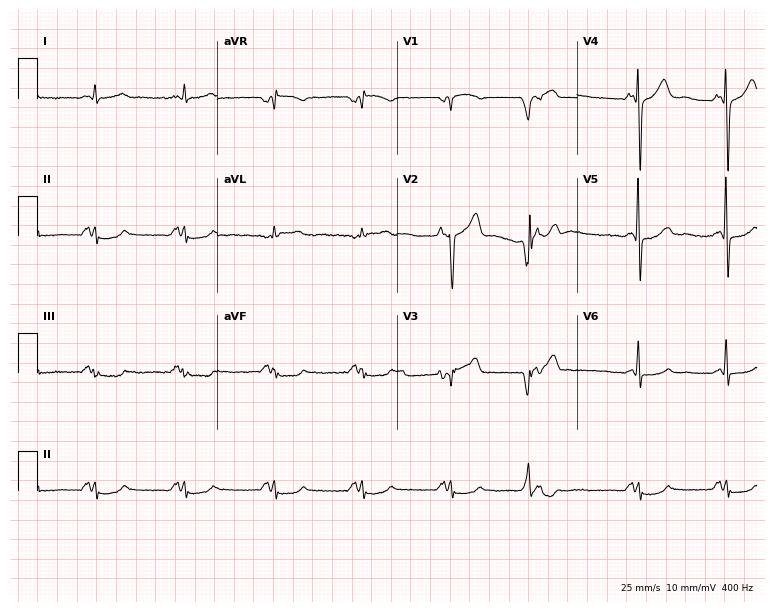
12-lead ECG from a man, 59 years old. No first-degree AV block, right bundle branch block, left bundle branch block, sinus bradycardia, atrial fibrillation or sinus tachycardia recorded for this tracing. Findings outside these six are not listed.